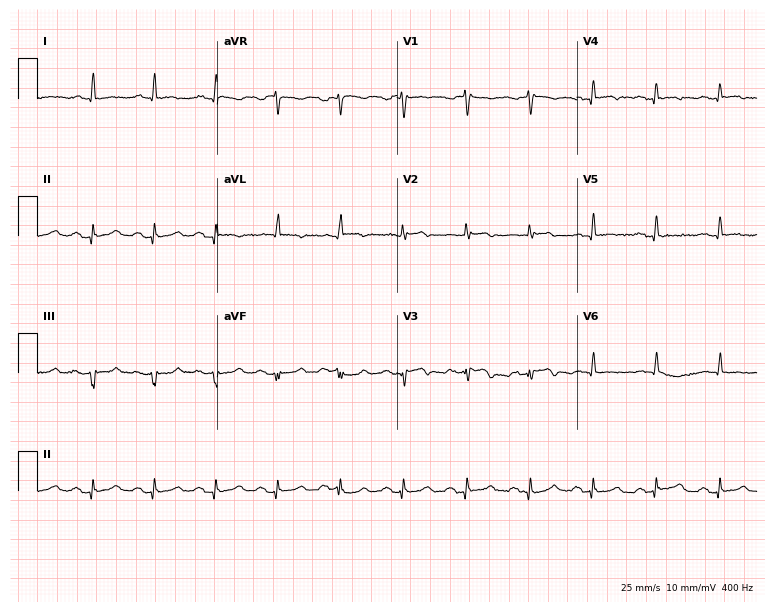
Resting 12-lead electrocardiogram (7.3-second recording at 400 Hz). Patient: a male, 79 years old. None of these six findings is recorded: first-degree AV block, right bundle branch block, left bundle branch block, sinus bradycardia, atrial fibrillation, sinus tachycardia. Other findings, if any, are not listed.